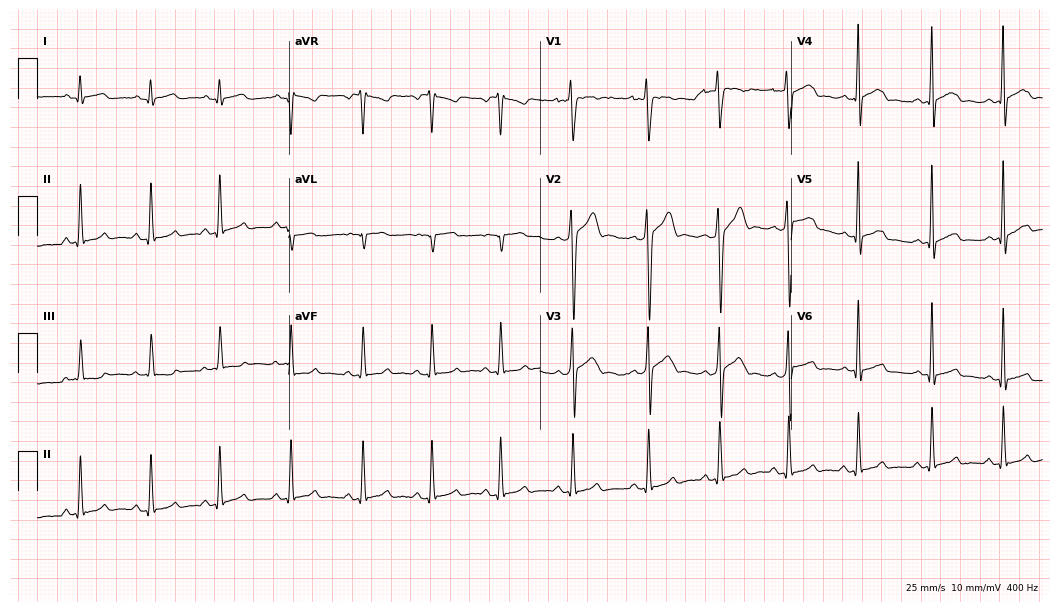
Standard 12-lead ECG recorded from a 21-year-old female. None of these six findings is recorded: first-degree AV block, right bundle branch block, left bundle branch block, sinus bradycardia, atrial fibrillation, sinus tachycardia.